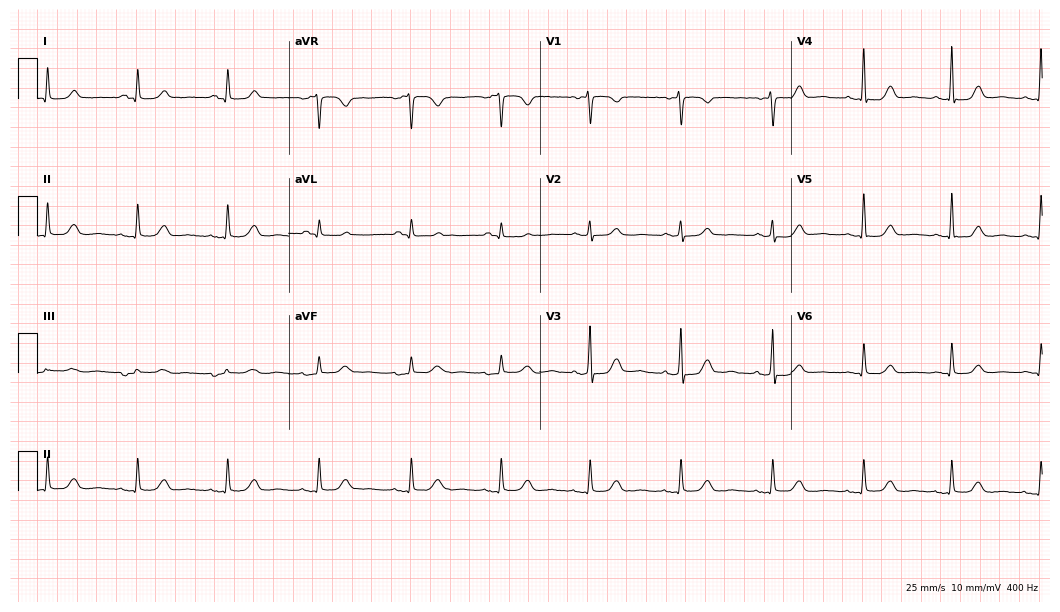
12-lead ECG from a female patient, 52 years old. Labelled as a normal ECG.